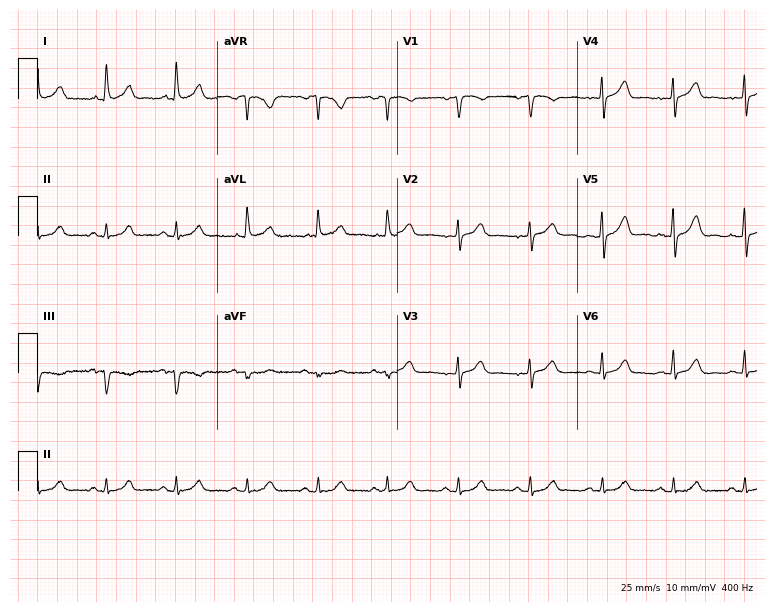
Electrocardiogram, a female patient, 75 years old. Of the six screened findings (first-degree AV block, right bundle branch block, left bundle branch block, sinus bradycardia, atrial fibrillation, sinus tachycardia), none is recorded.